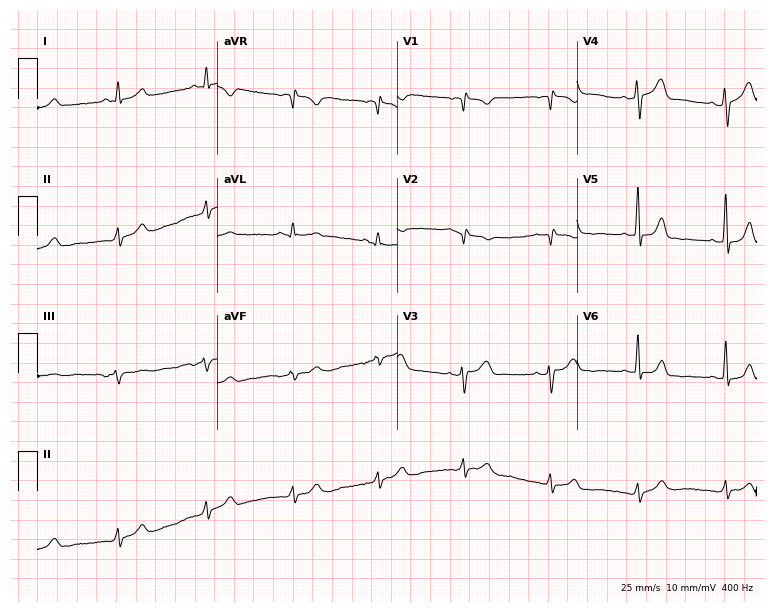
Resting 12-lead electrocardiogram (7.3-second recording at 400 Hz). Patient: a female, 65 years old. None of these six findings is recorded: first-degree AV block, right bundle branch block, left bundle branch block, sinus bradycardia, atrial fibrillation, sinus tachycardia.